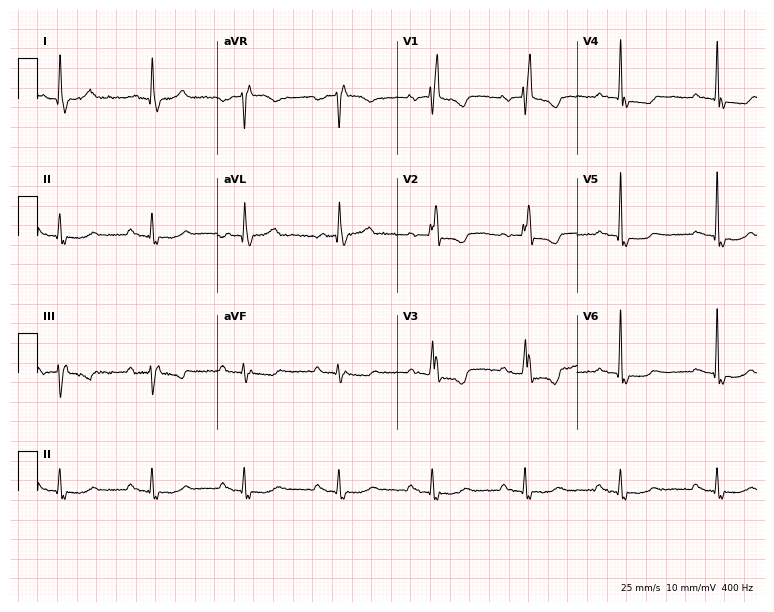
Resting 12-lead electrocardiogram. Patient: a 78-year-old female. The tracing shows right bundle branch block.